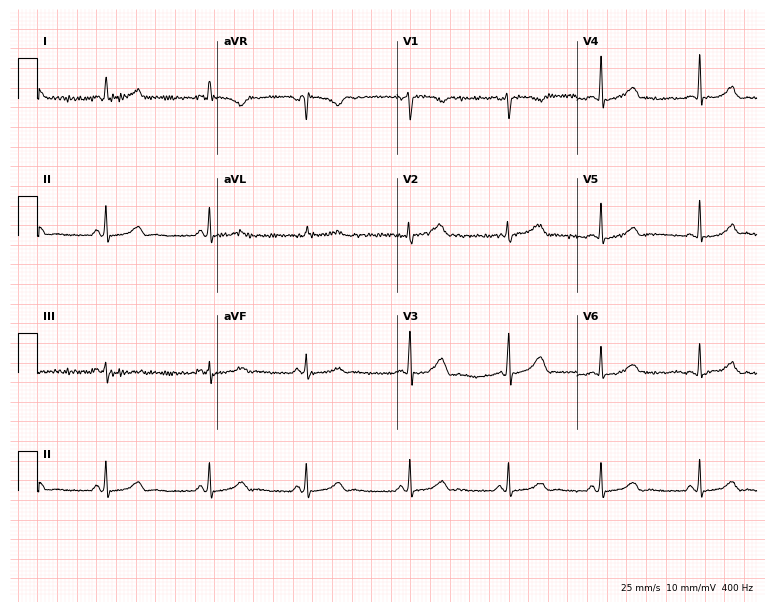
Standard 12-lead ECG recorded from a female, 32 years old. None of these six findings is recorded: first-degree AV block, right bundle branch block, left bundle branch block, sinus bradycardia, atrial fibrillation, sinus tachycardia. Findings outside these six are not listed.